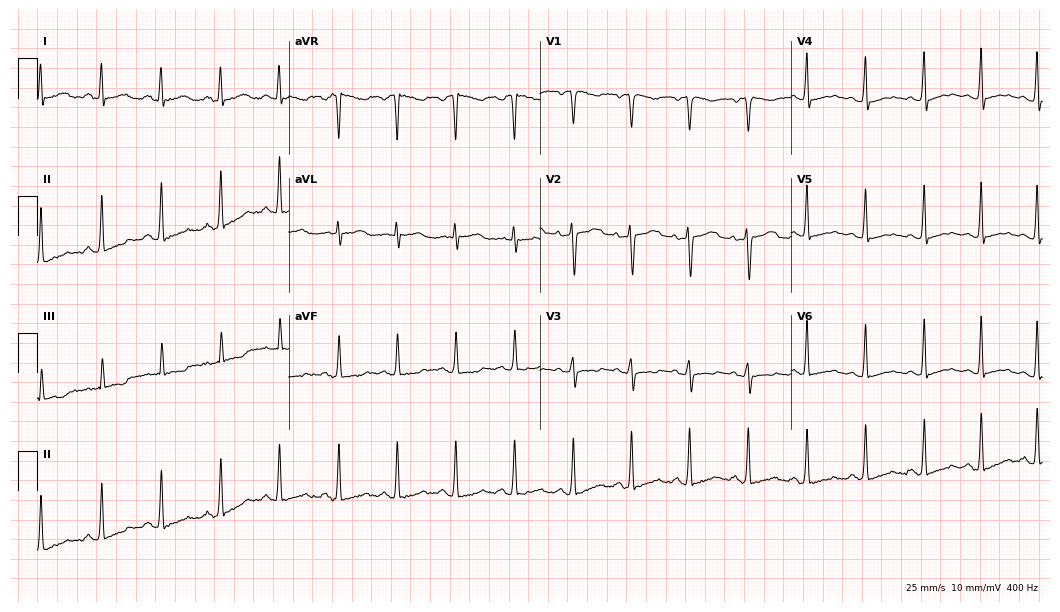
Resting 12-lead electrocardiogram (10.2-second recording at 400 Hz). Patient: a woman, 43 years old. None of these six findings is recorded: first-degree AV block, right bundle branch block (RBBB), left bundle branch block (LBBB), sinus bradycardia, atrial fibrillation (AF), sinus tachycardia.